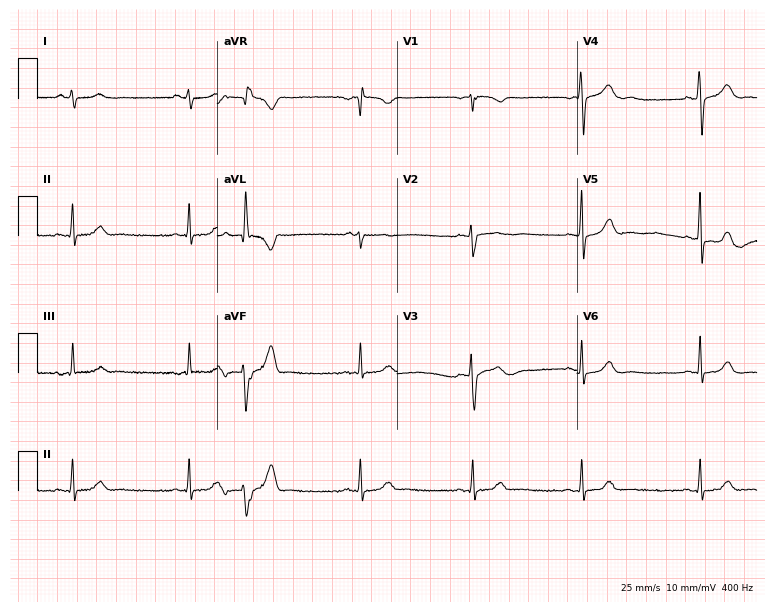
Electrocardiogram (7.3-second recording at 400 Hz), a female patient, 26 years old. Of the six screened findings (first-degree AV block, right bundle branch block, left bundle branch block, sinus bradycardia, atrial fibrillation, sinus tachycardia), none is recorded. Only these six findings were labelled.